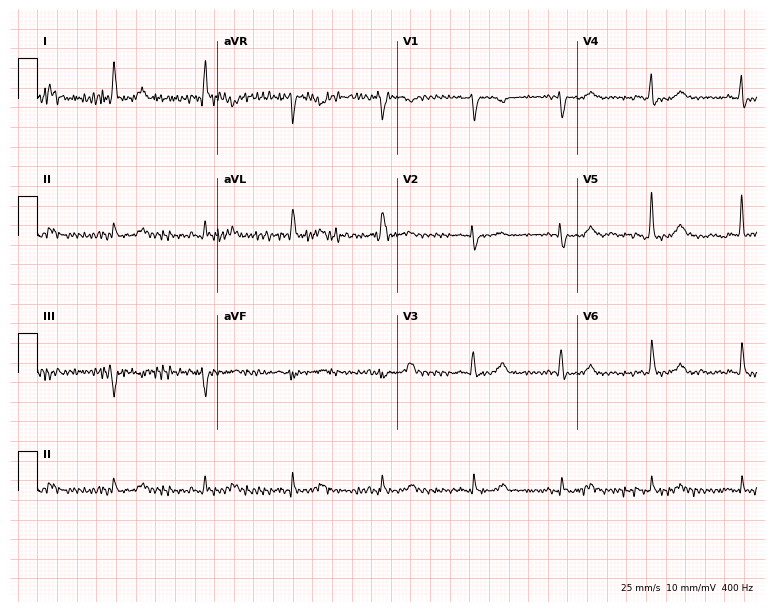
Resting 12-lead electrocardiogram. Patient: a woman, 77 years old. Read as a normal ECG.